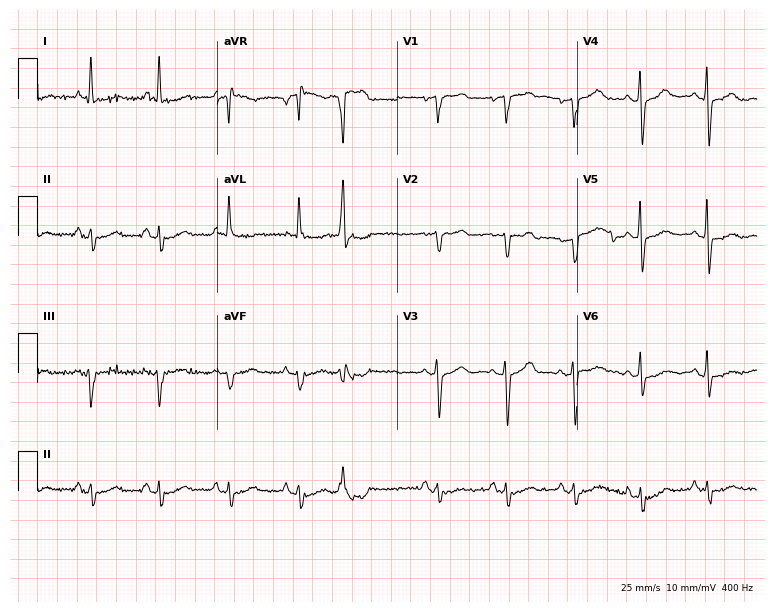
ECG (7.3-second recording at 400 Hz) — an 80-year-old female patient. Screened for six findings — first-degree AV block, right bundle branch block (RBBB), left bundle branch block (LBBB), sinus bradycardia, atrial fibrillation (AF), sinus tachycardia — none is recorded. Other findings, if any, are not listed.